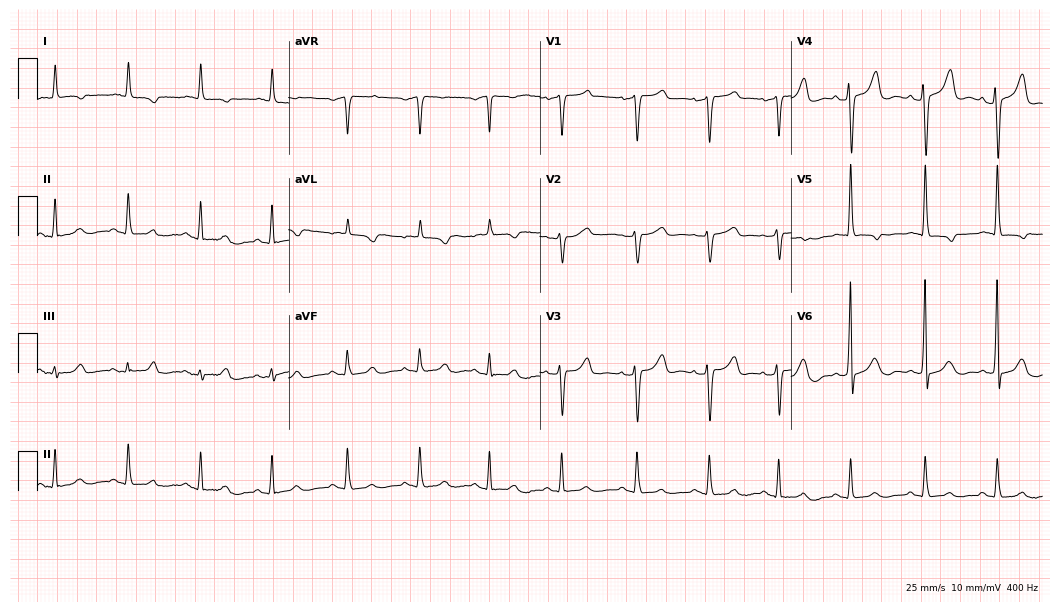
12-lead ECG from a 58-year-old woman. No first-degree AV block, right bundle branch block (RBBB), left bundle branch block (LBBB), sinus bradycardia, atrial fibrillation (AF) or sinus tachycardia recorded for this tracing.